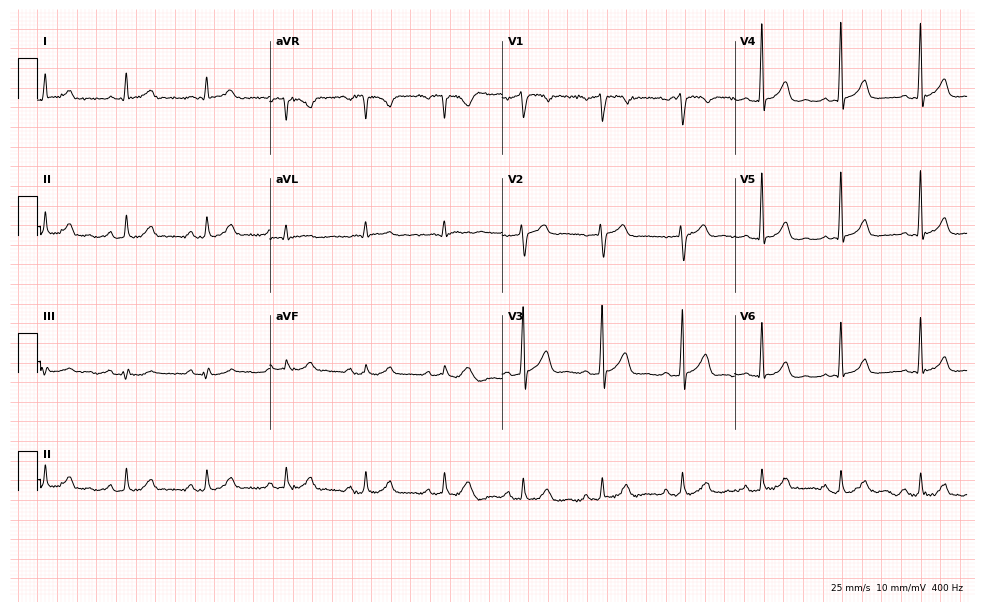
12-lead ECG from a man, 52 years old. Recorded interpretation: within normal limits.